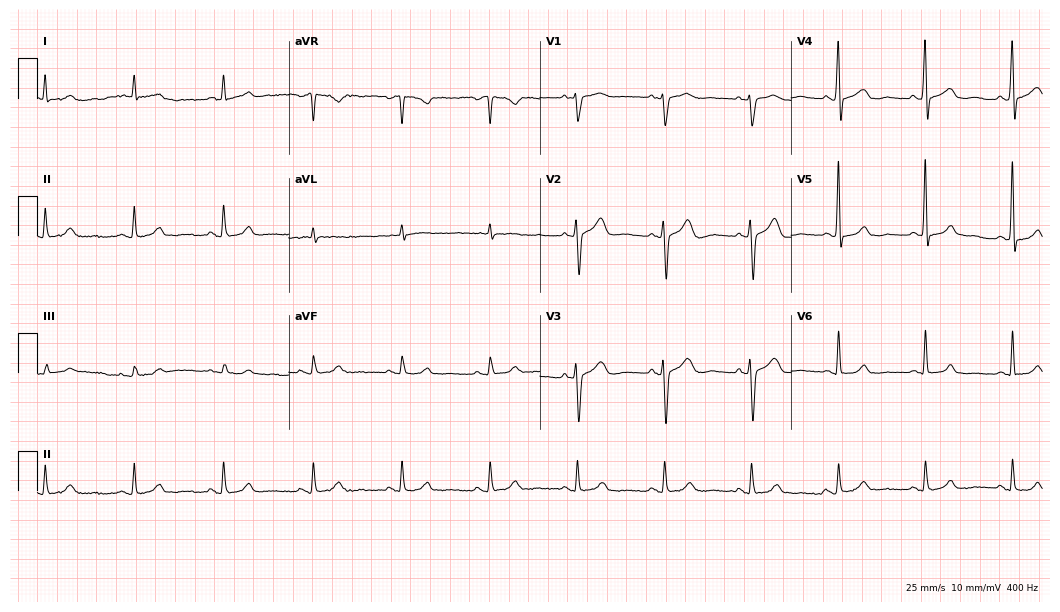
Electrocardiogram (10.2-second recording at 400 Hz), a man, 73 years old. Overall reading on record: normal ECG.